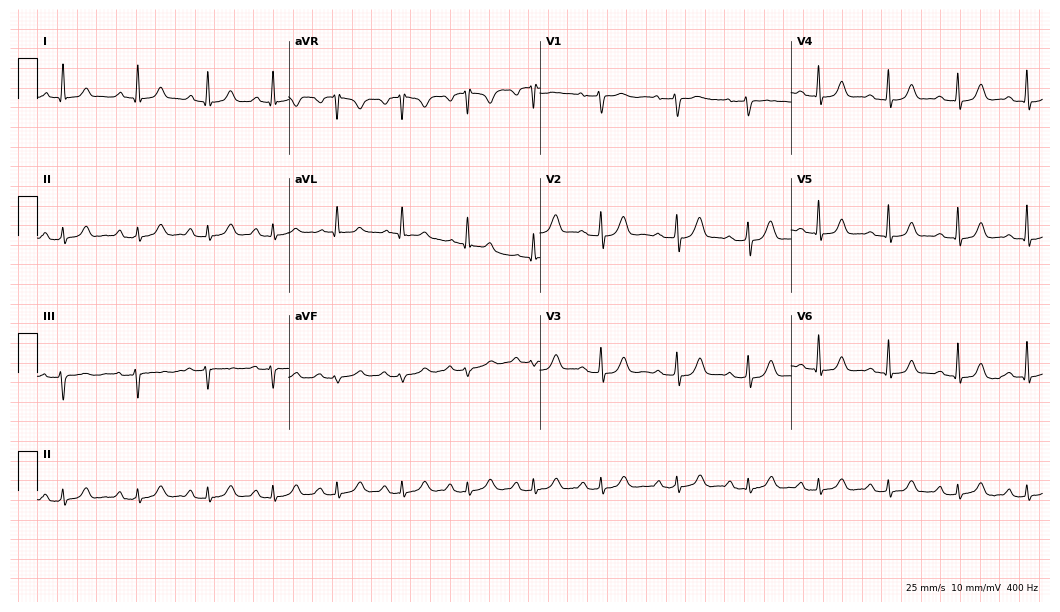
Resting 12-lead electrocardiogram. Patient: a 43-year-old woman. The tracing shows first-degree AV block.